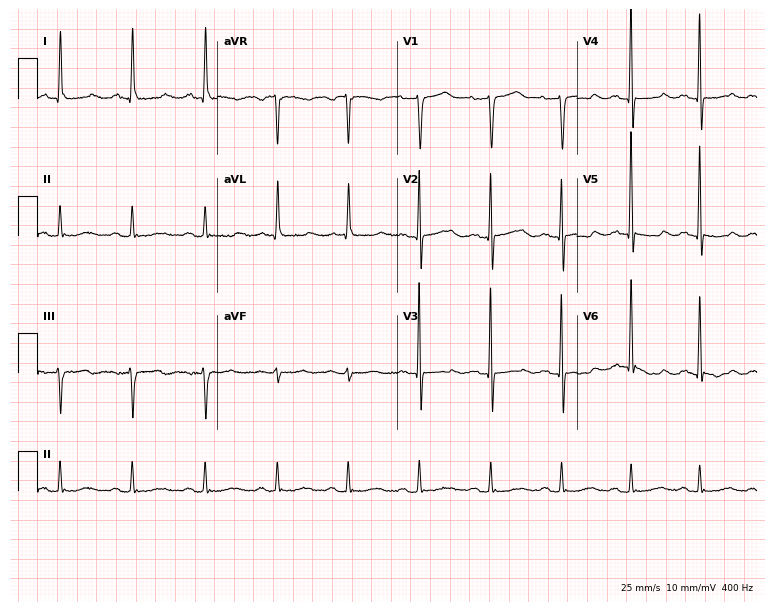
Resting 12-lead electrocardiogram. Patient: a woman, 77 years old. Read as a normal ECG.